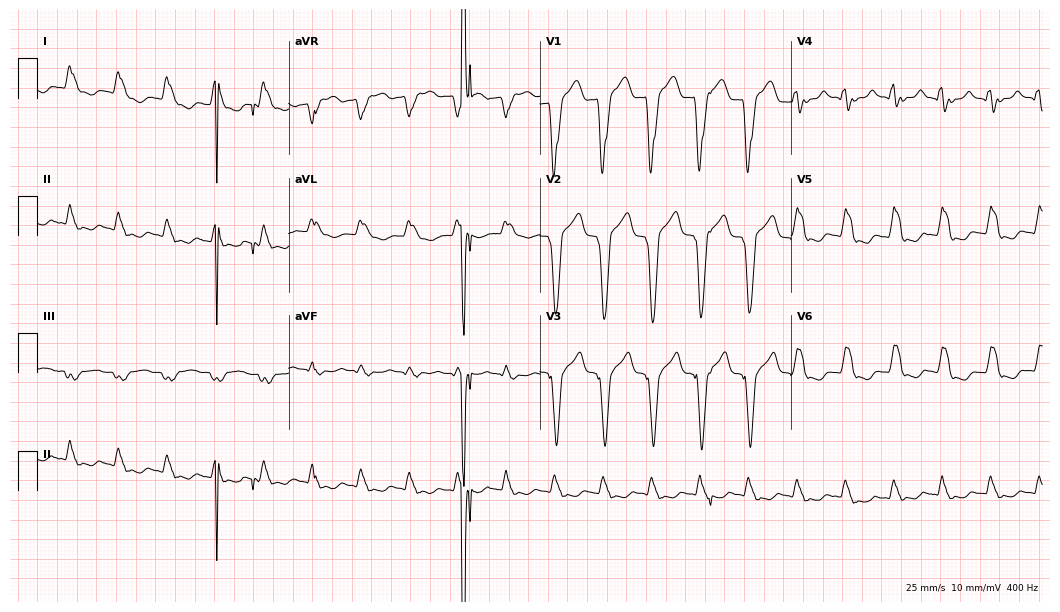
ECG — a male, 83 years old. Findings include left bundle branch block.